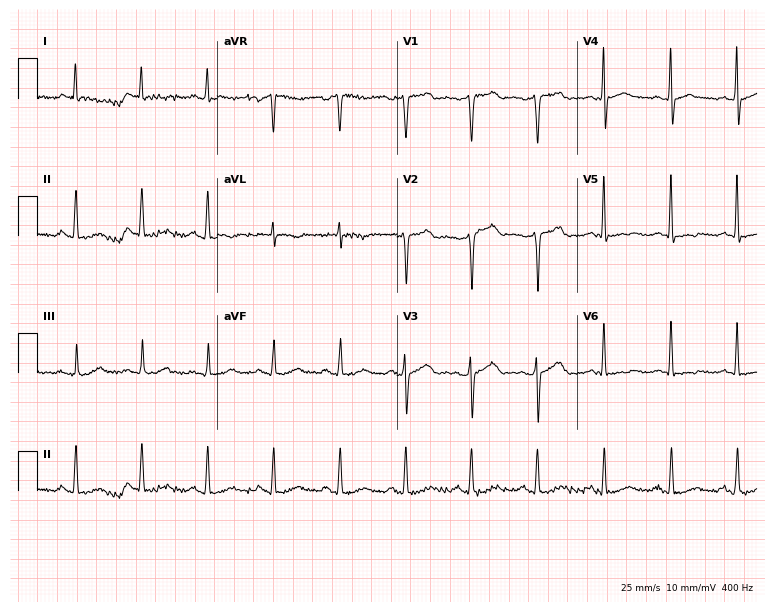
Standard 12-lead ECG recorded from a 67-year-old male patient. None of these six findings is recorded: first-degree AV block, right bundle branch block (RBBB), left bundle branch block (LBBB), sinus bradycardia, atrial fibrillation (AF), sinus tachycardia.